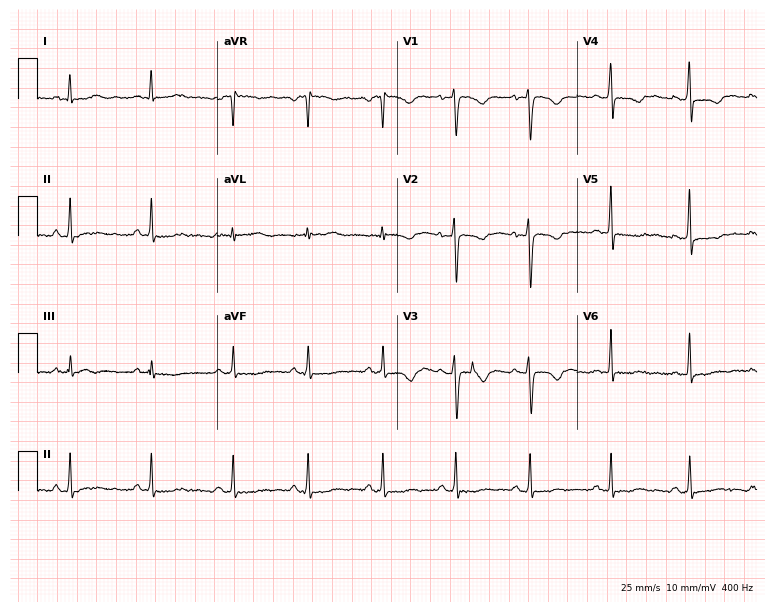
Standard 12-lead ECG recorded from a female, 17 years old (7.3-second recording at 400 Hz). None of these six findings is recorded: first-degree AV block, right bundle branch block (RBBB), left bundle branch block (LBBB), sinus bradycardia, atrial fibrillation (AF), sinus tachycardia. Other findings, if any, are not listed.